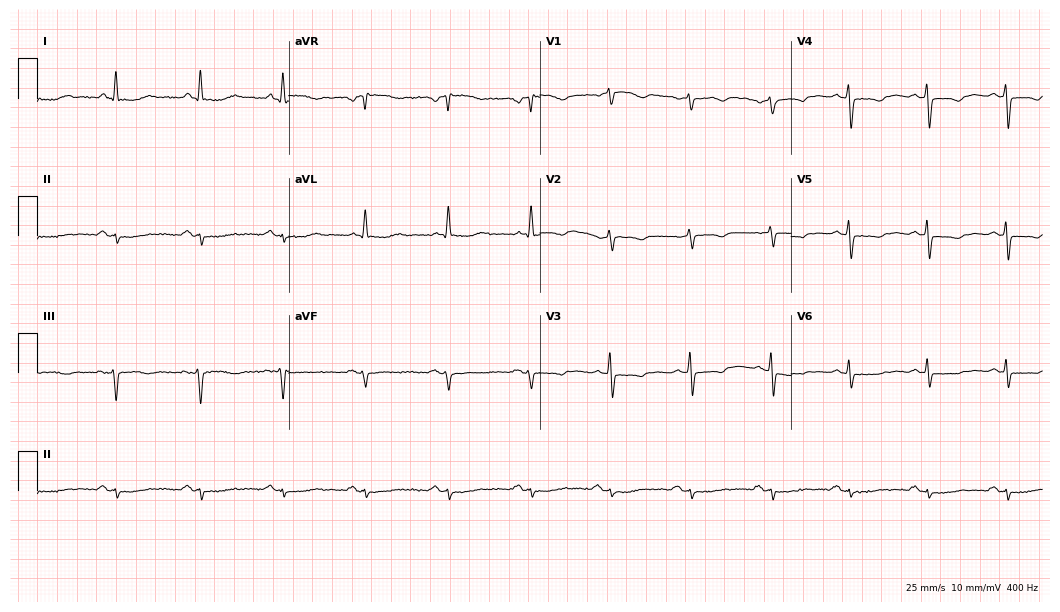
Standard 12-lead ECG recorded from a 76-year-old woman. None of these six findings is recorded: first-degree AV block, right bundle branch block, left bundle branch block, sinus bradycardia, atrial fibrillation, sinus tachycardia. Findings outside these six are not listed.